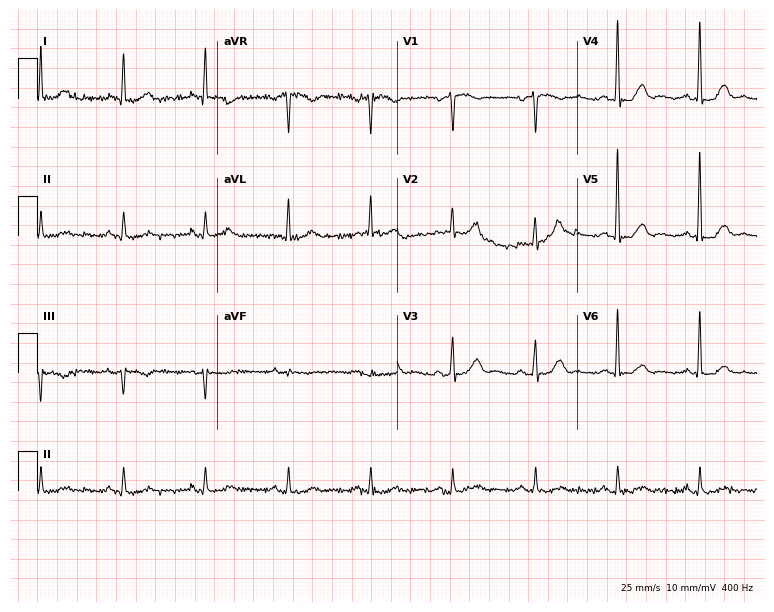
Standard 12-lead ECG recorded from a man, 81 years old. Read as a normal ECG.